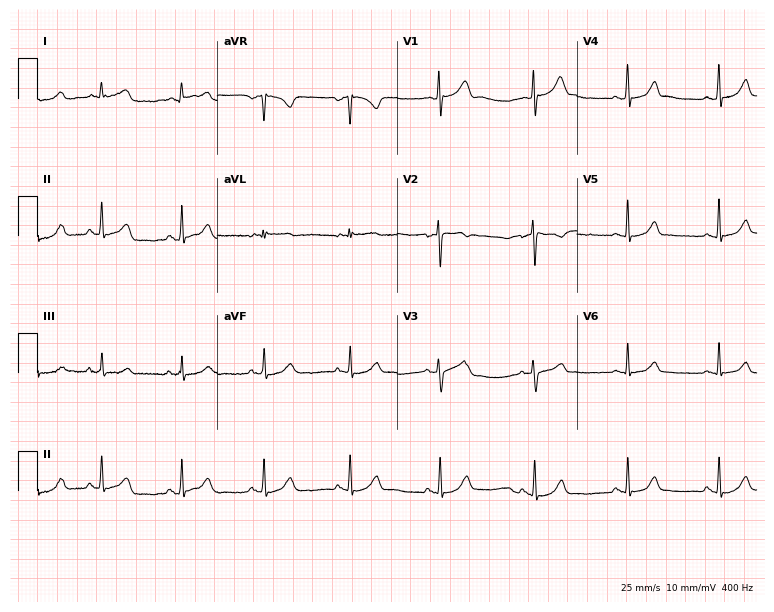
ECG — a female patient, 35 years old. Labelled as a normal ECG.